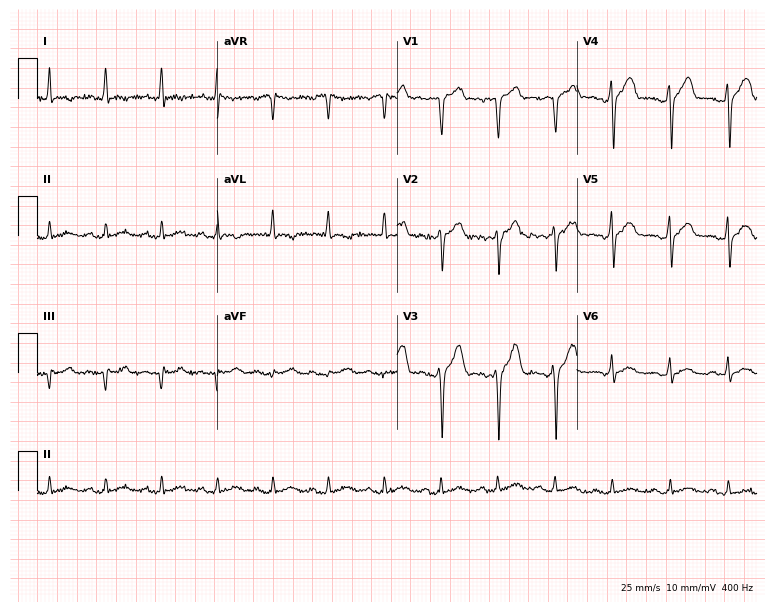
12-lead ECG from a female patient, 25 years old. Shows sinus tachycardia (a sinus rate of 100 beats per minute or more).